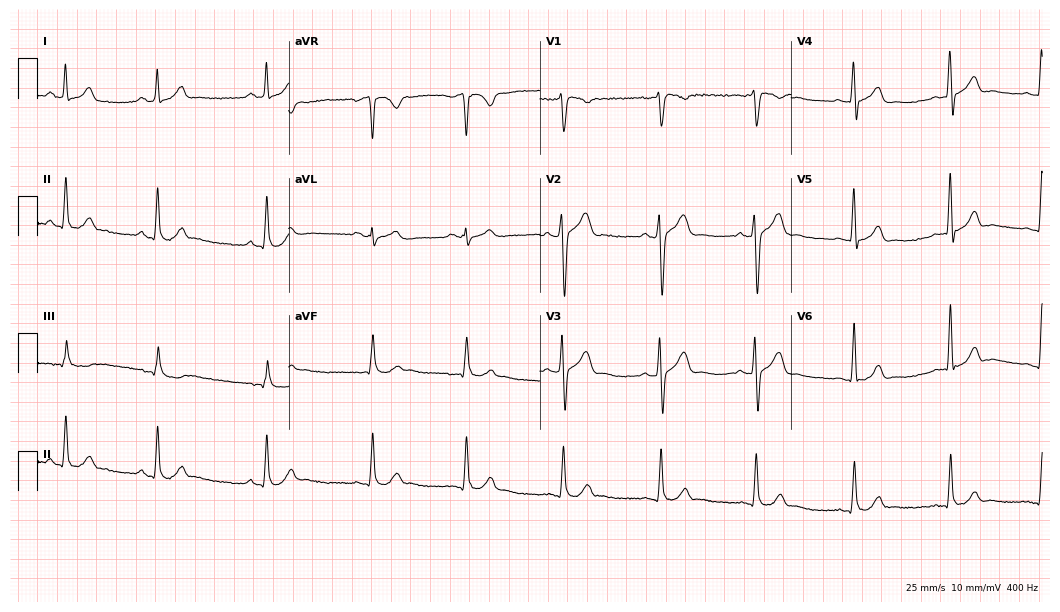
Electrocardiogram (10.2-second recording at 400 Hz), a man, 36 years old. Of the six screened findings (first-degree AV block, right bundle branch block, left bundle branch block, sinus bradycardia, atrial fibrillation, sinus tachycardia), none is recorded.